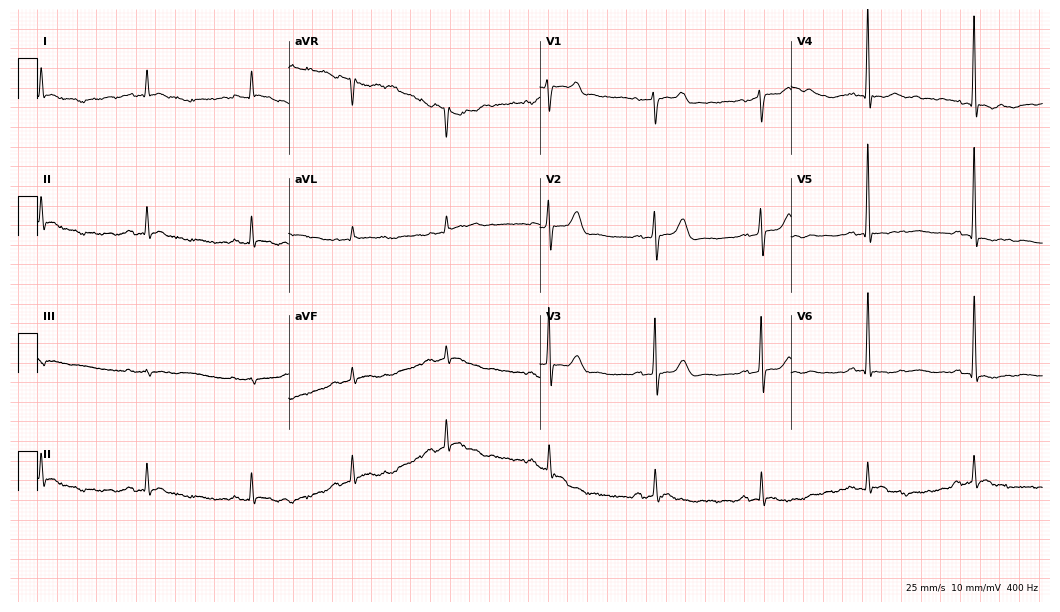
ECG — a 78-year-old male patient. Screened for six findings — first-degree AV block, right bundle branch block (RBBB), left bundle branch block (LBBB), sinus bradycardia, atrial fibrillation (AF), sinus tachycardia — none is recorded.